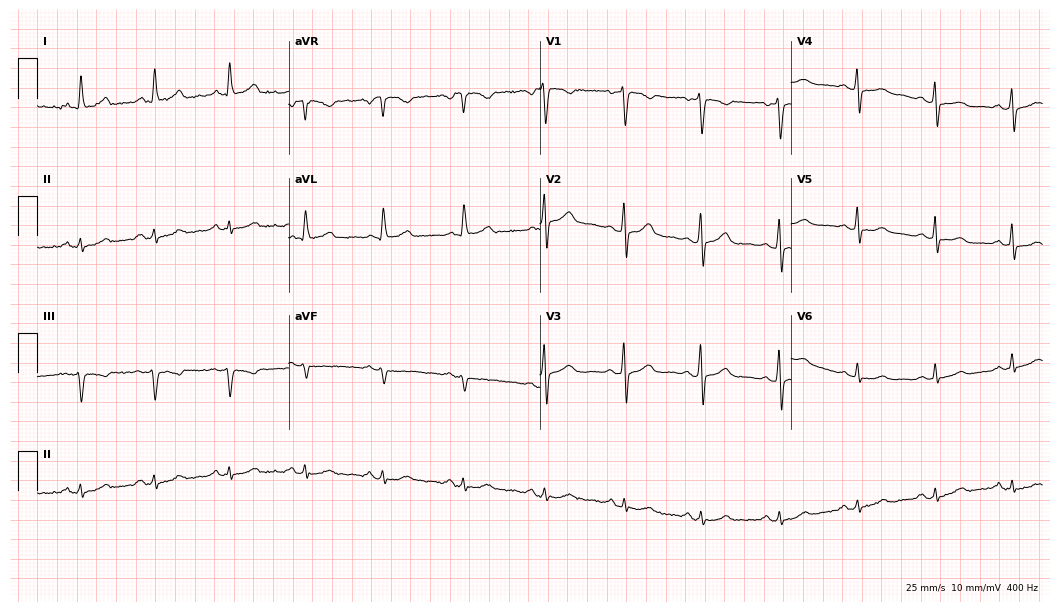
Electrocardiogram (10.2-second recording at 400 Hz), a female, 66 years old. Overall reading on record: normal ECG.